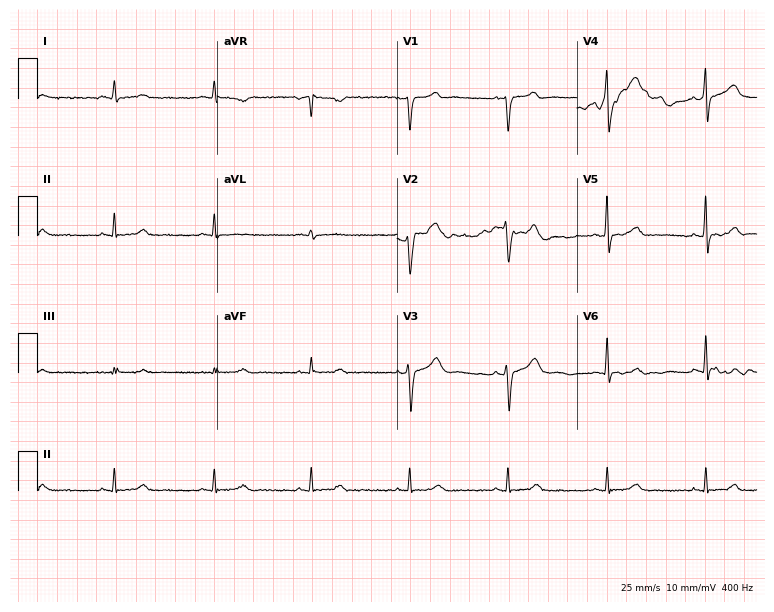
12-lead ECG from a 50-year-old male (7.3-second recording at 400 Hz). No first-degree AV block, right bundle branch block (RBBB), left bundle branch block (LBBB), sinus bradycardia, atrial fibrillation (AF) or sinus tachycardia recorded for this tracing.